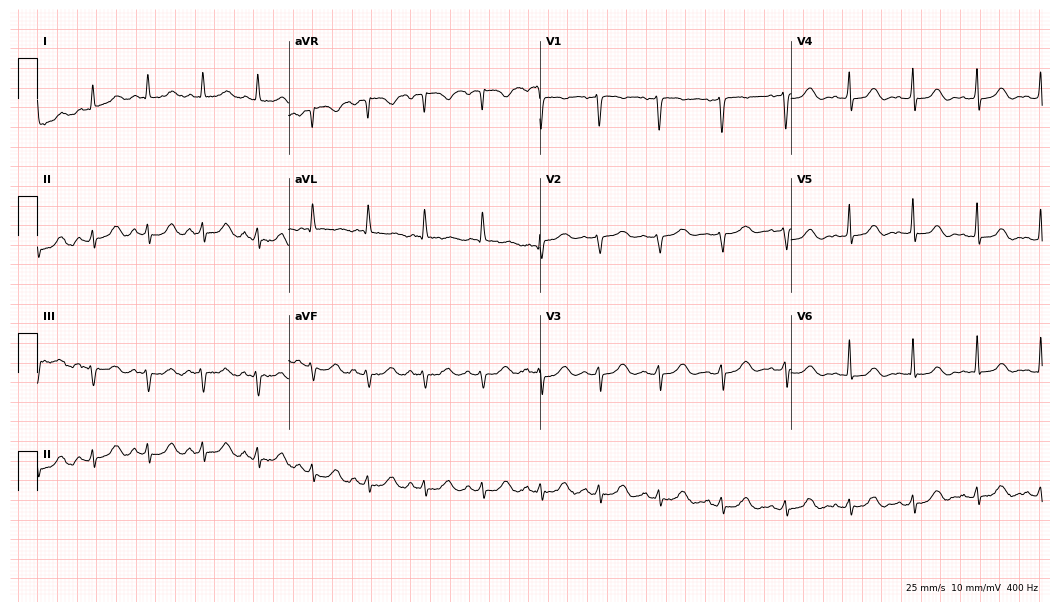
ECG (10.2-second recording at 400 Hz) — a 59-year-old female. Findings include sinus tachycardia (a sinus rate of 100 beats per minute or more).